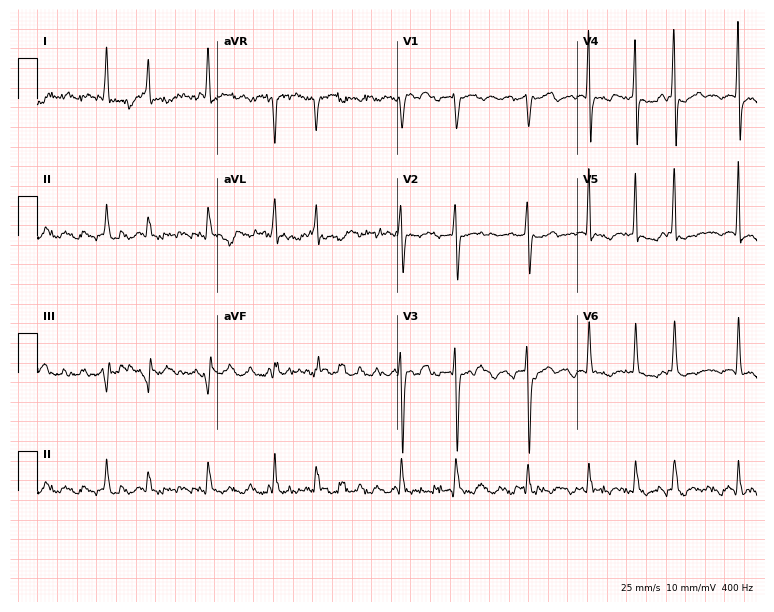
Electrocardiogram (7.3-second recording at 400 Hz), a 70-year-old woman. Of the six screened findings (first-degree AV block, right bundle branch block, left bundle branch block, sinus bradycardia, atrial fibrillation, sinus tachycardia), none is recorded. Only these six findings were labelled.